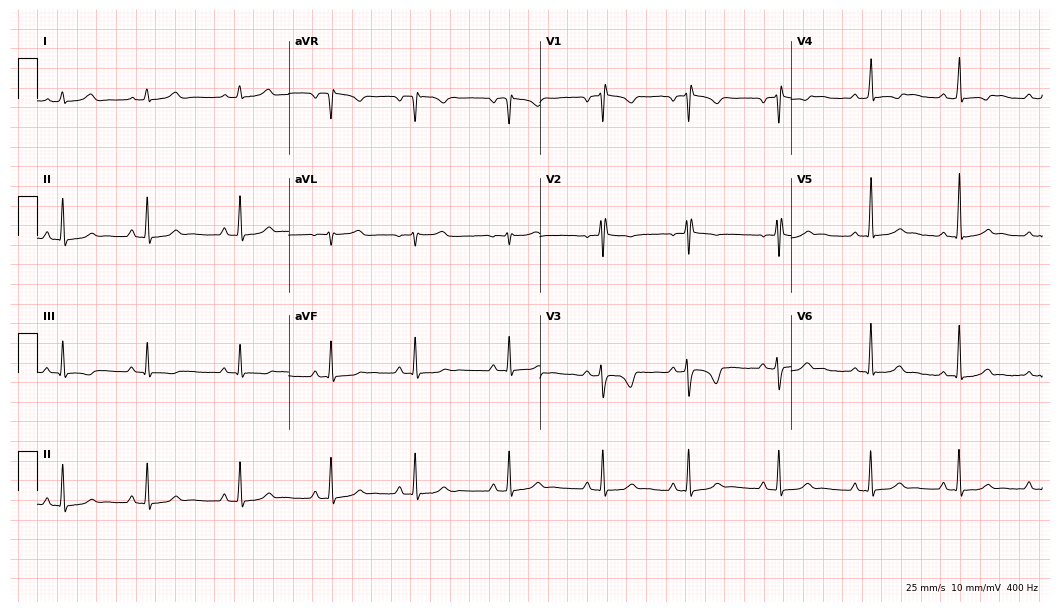
12-lead ECG from a 19-year-old woman. Recorded interpretation: within normal limits.